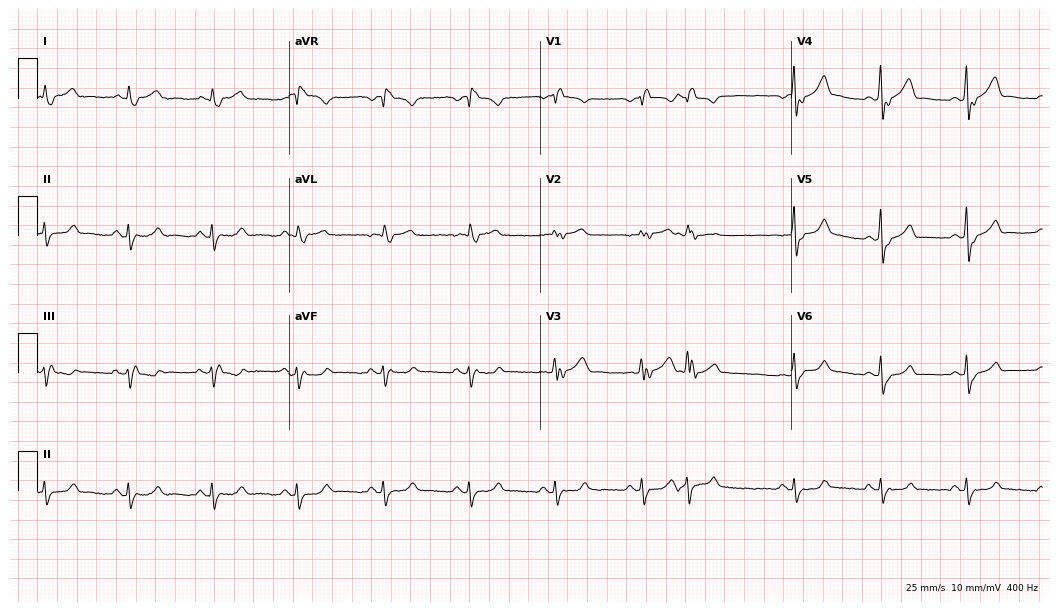
ECG — a man, 75 years old. Screened for six findings — first-degree AV block, right bundle branch block (RBBB), left bundle branch block (LBBB), sinus bradycardia, atrial fibrillation (AF), sinus tachycardia — none is recorded.